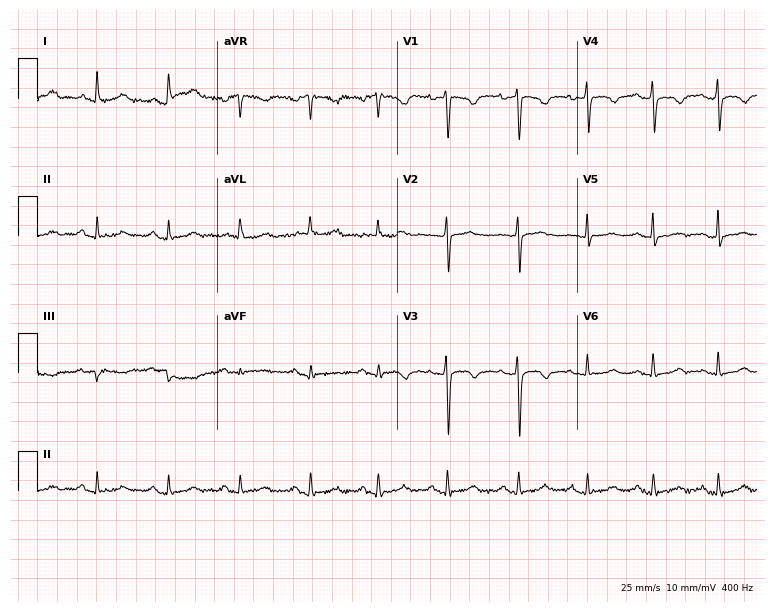
Electrocardiogram (7.3-second recording at 400 Hz), a 52-year-old female. Of the six screened findings (first-degree AV block, right bundle branch block, left bundle branch block, sinus bradycardia, atrial fibrillation, sinus tachycardia), none is recorded.